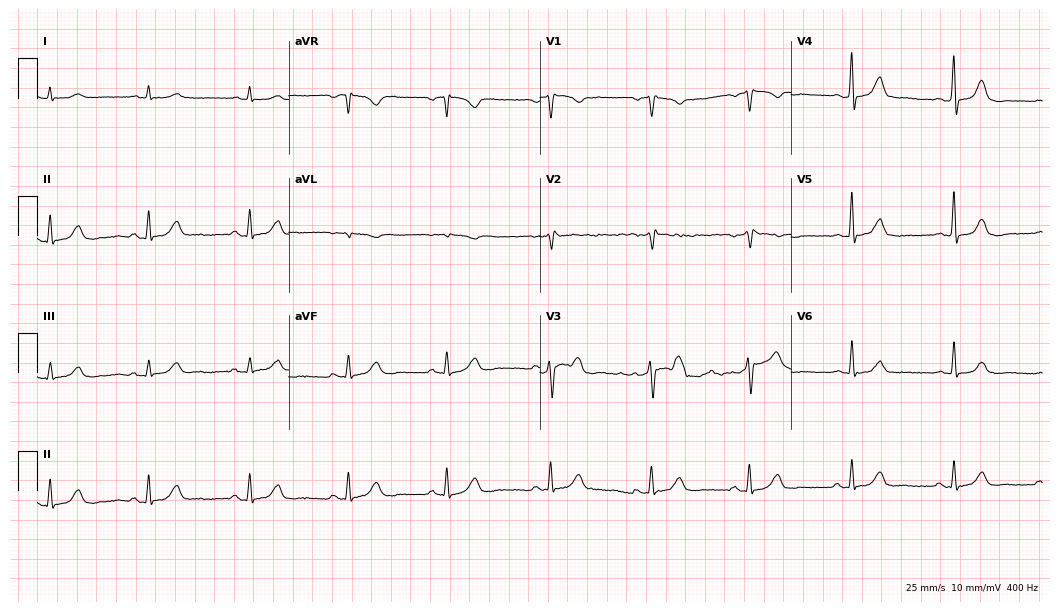
ECG (10.2-second recording at 400 Hz) — a 68-year-old man. Labelled as a normal ECG.